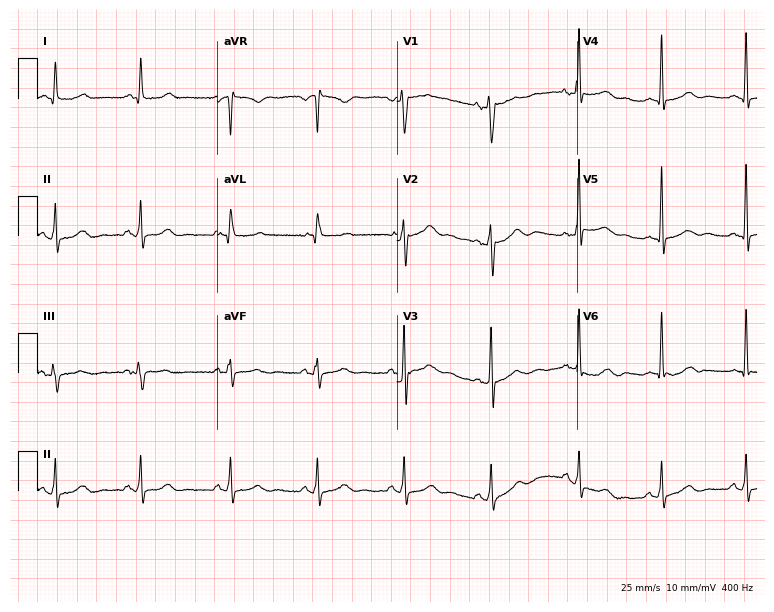
ECG — a 44-year-old female patient. Screened for six findings — first-degree AV block, right bundle branch block (RBBB), left bundle branch block (LBBB), sinus bradycardia, atrial fibrillation (AF), sinus tachycardia — none is recorded. Findings outside these six are not listed.